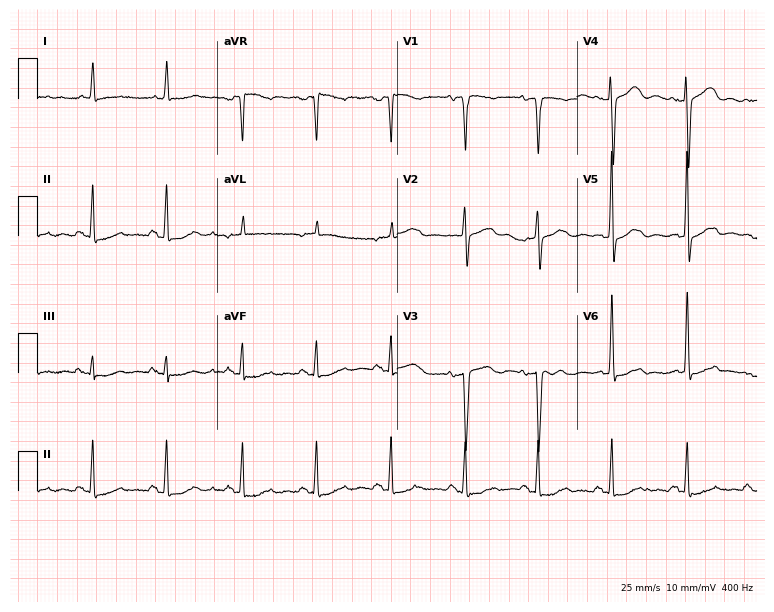
ECG — a 69-year-old woman. Screened for six findings — first-degree AV block, right bundle branch block, left bundle branch block, sinus bradycardia, atrial fibrillation, sinus tachycardia — none is recorded. Only these six findings were labelled.